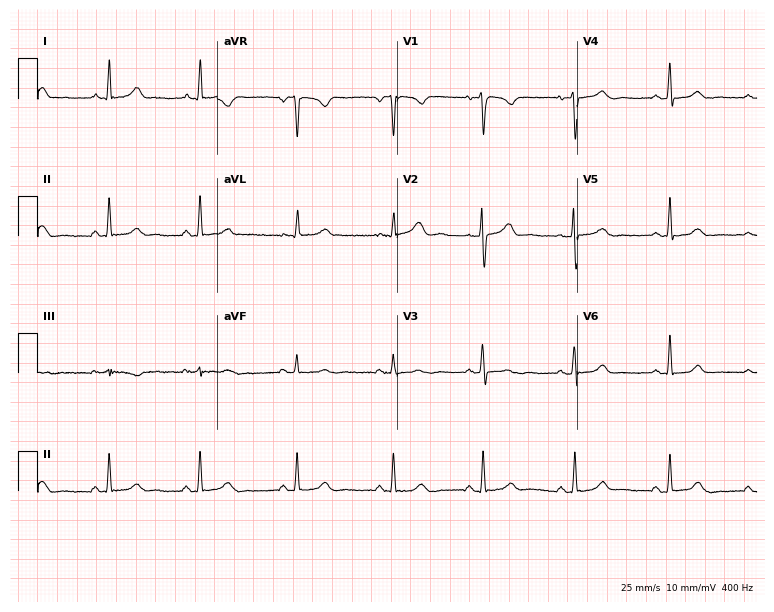
12-lead ECG from a 39-year-old woman. Recorded interpretation: within normal limits.